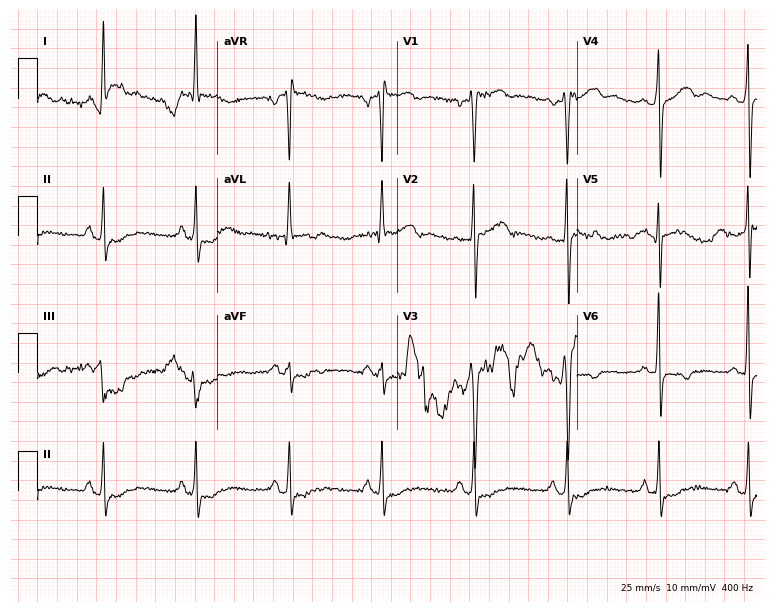
12-lead ECG from a 53-year-old male. Screened for six findings — first-degree AV block, right bundle branch block, left bundle branch block, sinus bradycardia, atrial fibrillation, sinus tachycardia — none is recorded.